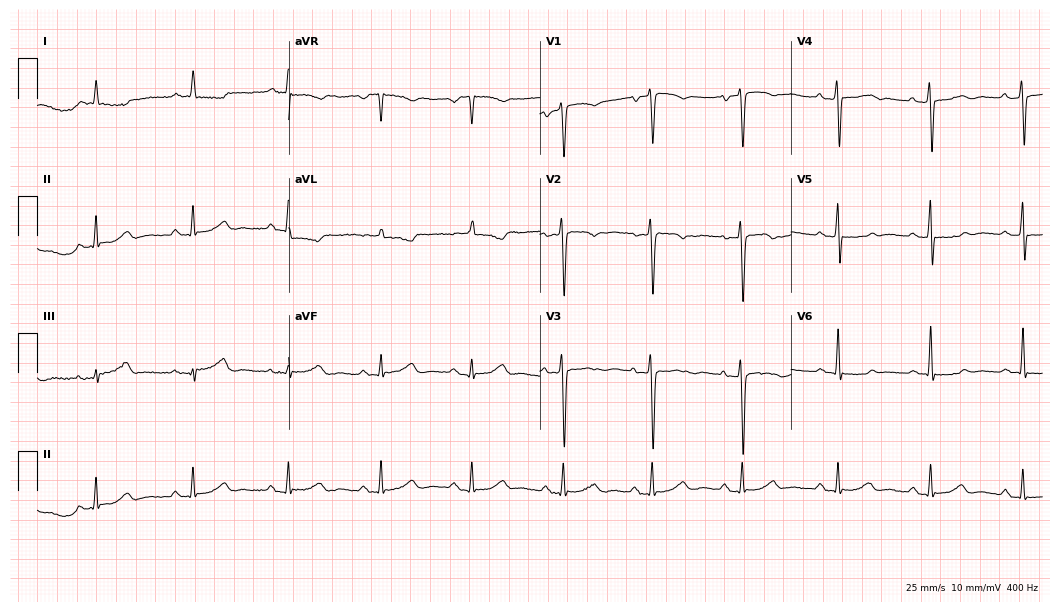
Electrocardiogram, a woman, 72 years old. Of the six screened findings (first-degree AV block, right bundle branch block, left bundle branch block, sinus bradycardia, atrial fibrillation, sinus tachycardia), none is recorded. Only these six findings were labelled.